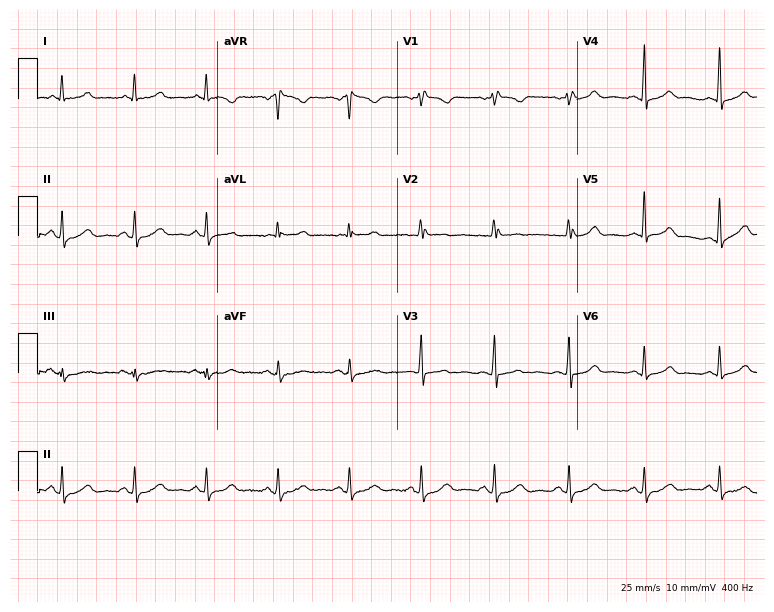
Resting 12-lead electrocardiogram. Patient: a female, 58 years old. Read as a normal ECG.